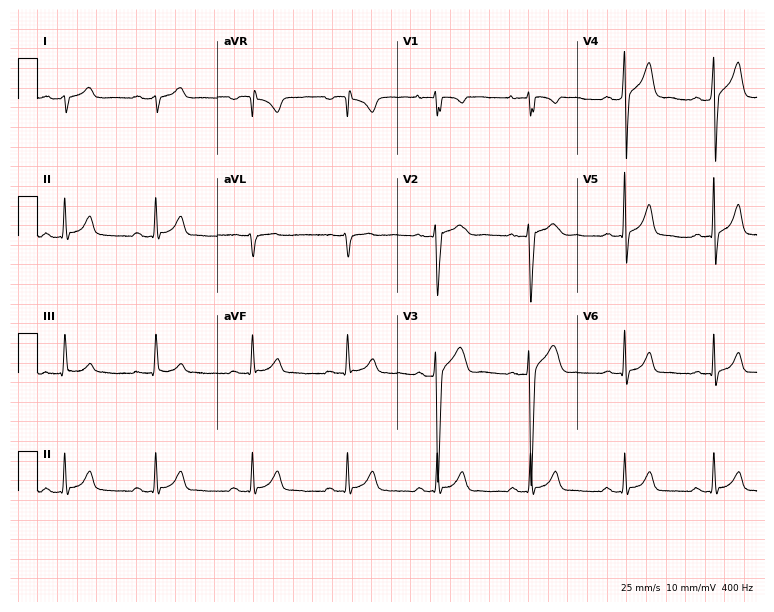
Standard 12-lead ECG recorded from a 23-year-old male (7.3-second recording at 400 Hz). None of these six findings is recorded: first-degree AV block, right bundle branch block, left bundle branch block, sinus bradycardia, atrial fibrillation, sinus tachycardia. Only these six findings were labelled.